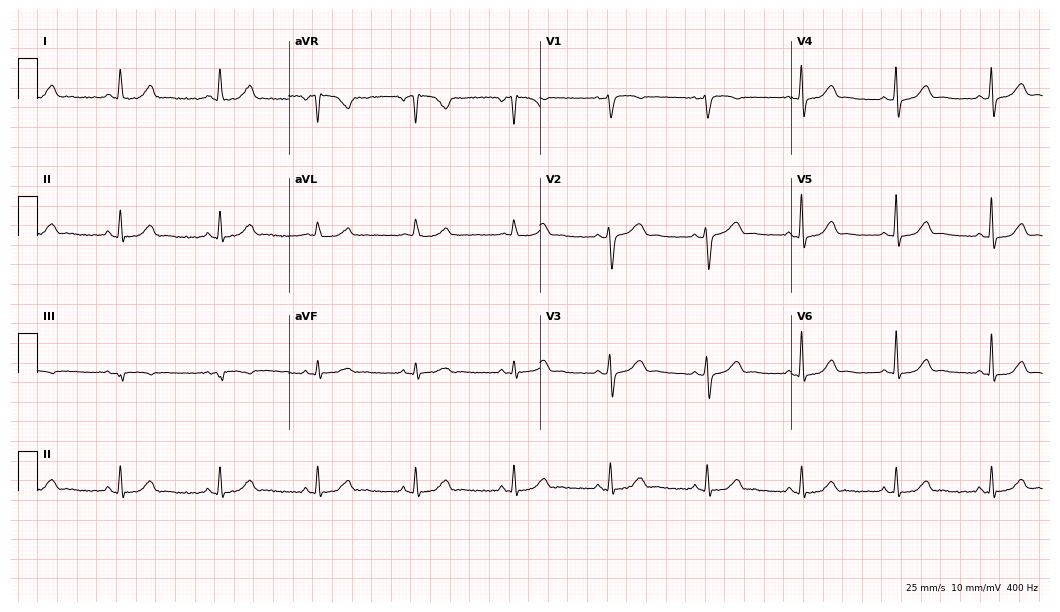
Electrocardiogram, a 55-year-old woman. Of the six screened findings (first-degree AV block, right bundle branch block (RBBB), left bundle branch block (LBBB), sinus bradycardia, atrial fibrillation (AF), sinus tachycardia), none is recorded.